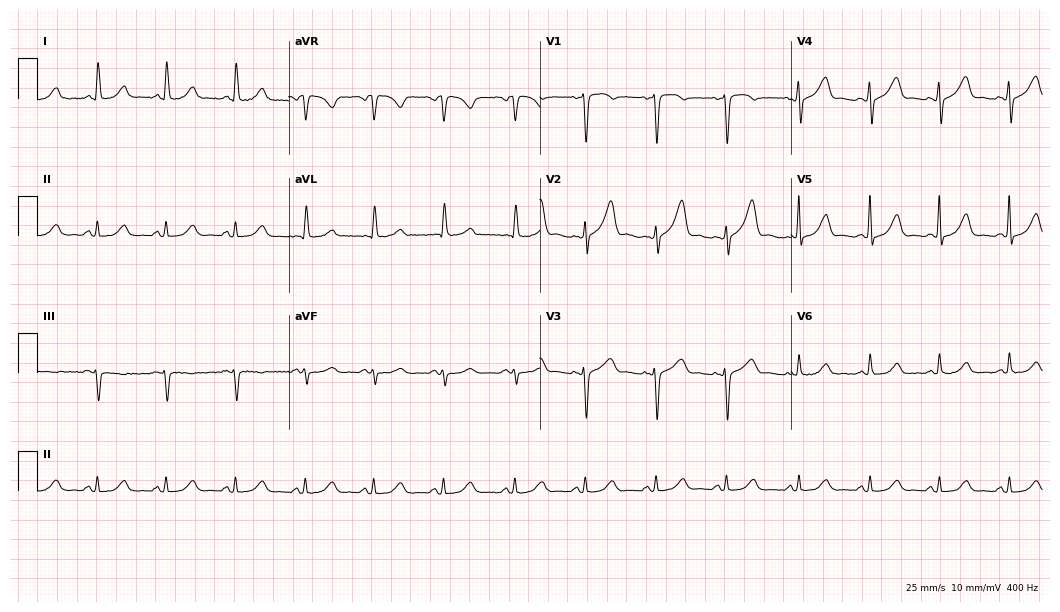
Resting 12-lead electrocardiogram. Patient: a 70-year-old female. Read as a normal ECG.